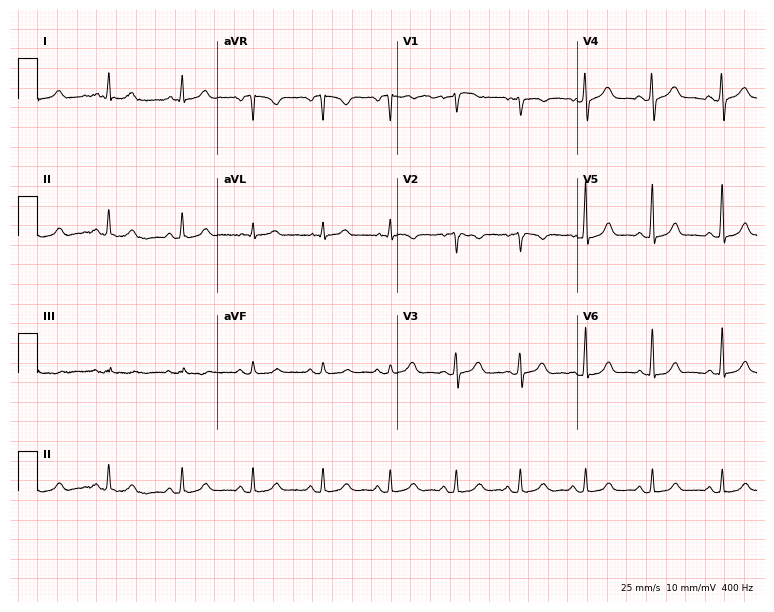
ECG (7.3-second recording at 400 Hz) — a woman, 38 years old. Labelled as a normal ECG.